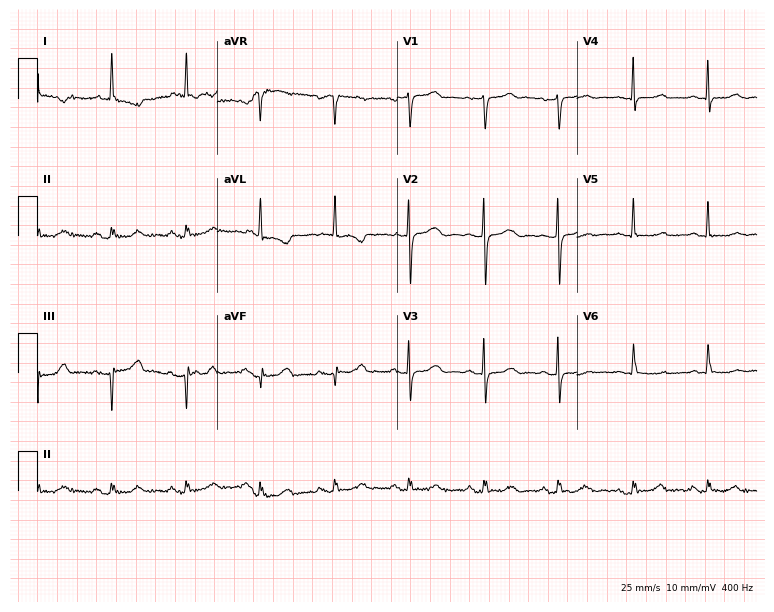
ECG — an 80-year-old woman. Screened for six findings — first-degree AV block, right bundle branch block (RBBB), left bundle branch block (LBBB), sinus bradycardia, atrial fibrillation (AF), sinus tachycardia — none is recorded.